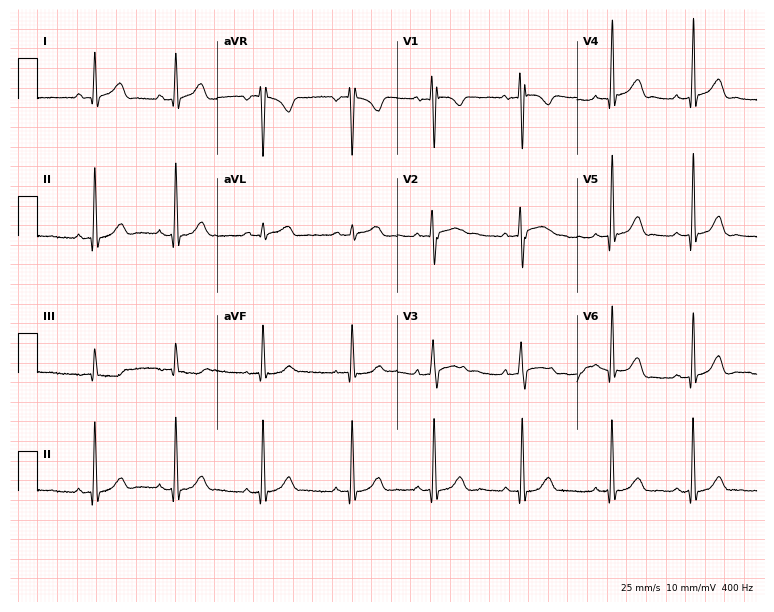
12-lead ECG from a female patient, 34 years old (7.3-second recording at 400 Hz). Recorded interpretation: within normal limits.